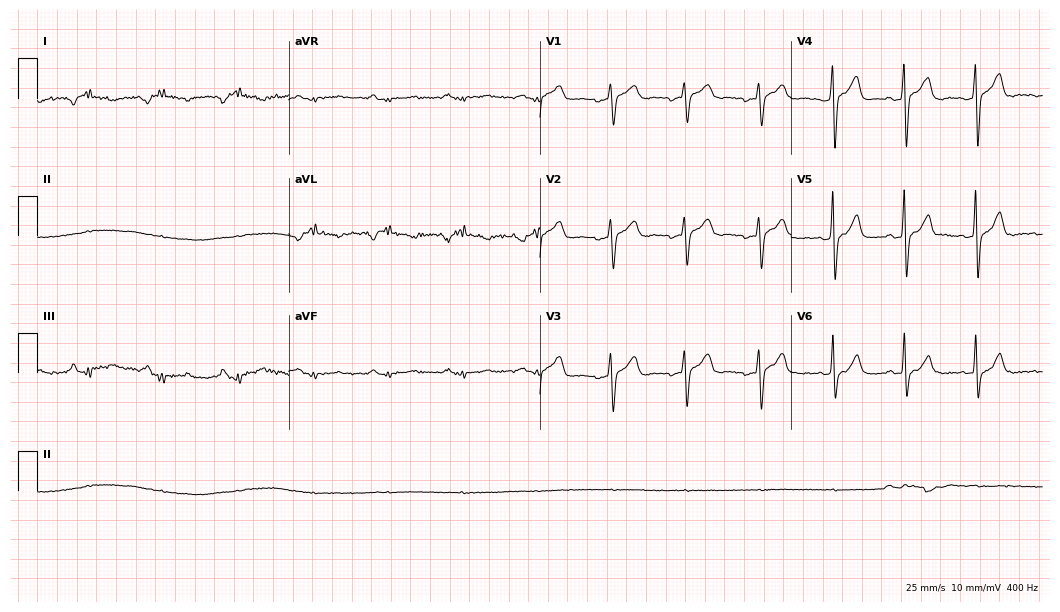
Resting 12-lead electrocardiogram (10.2-second recording at 400 Hz). Patient: a male, 55 years old. None of these six findings is recorded: first-degree AV block, right bundle branch block, left bundle branch block, sinus bradycardia, atrial fibrillation, sinus tachycardia. Other findings, if any, are not listed.